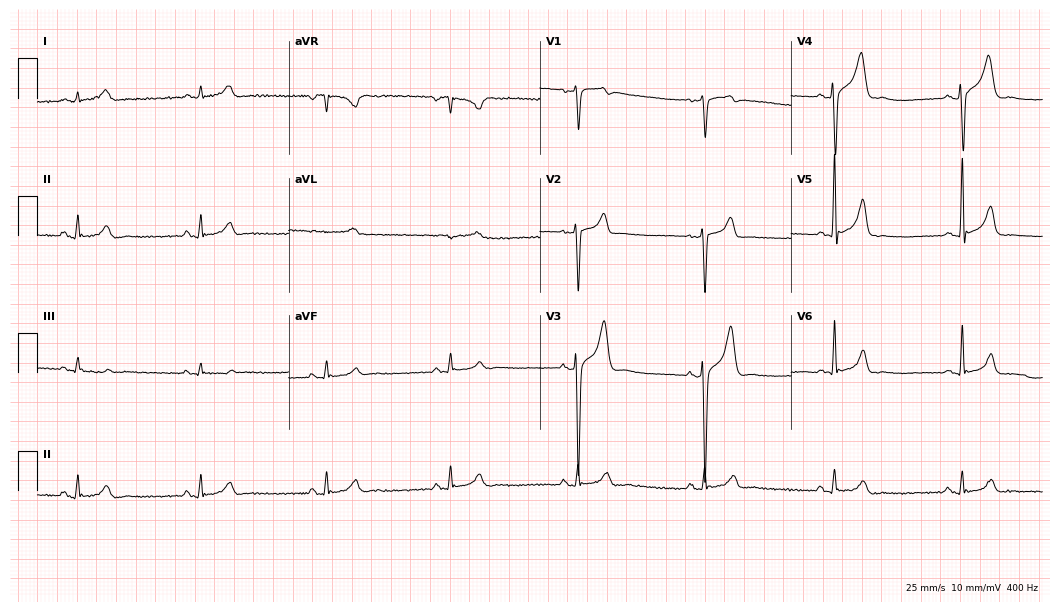
ECG (10.2-second recording at 400 Hz) — a 61-year-old male patient. Findings include sinus bradycardia (a sinus rate of 50 beats per minute or less).